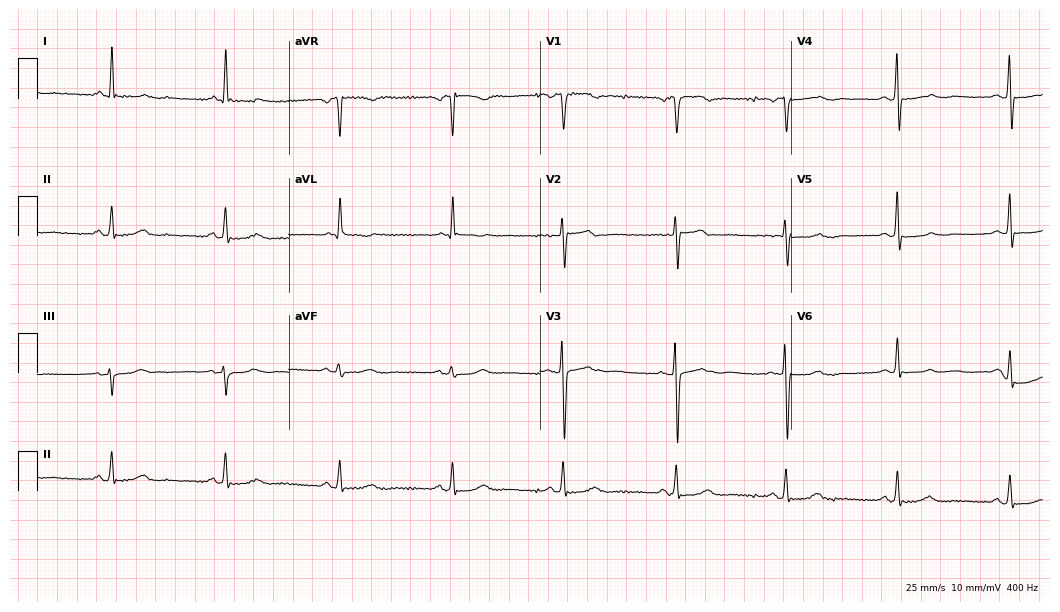
Electrocardiogram, a 67-year-old woman. Overall reading on record: normal ECG.